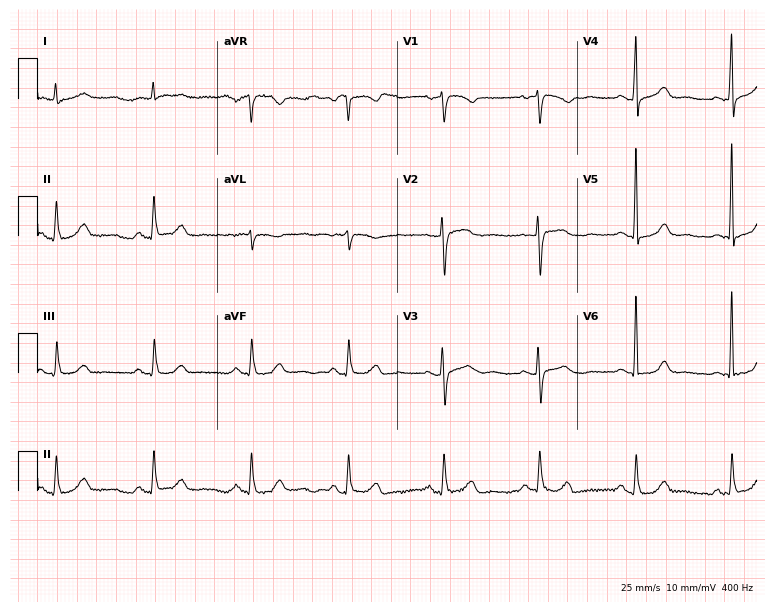
12-lead ECG from a 72-year-old female patient (7.3-second recording at 400 Hz). No first-degree AV block, right bundle branch block (RBBB), left bundle branch block (LBBB), sinus bradycardia, atrial fibrillation (AF) or sinus tachycardia recorded for this tracing. Other findings, if any, are not listed.